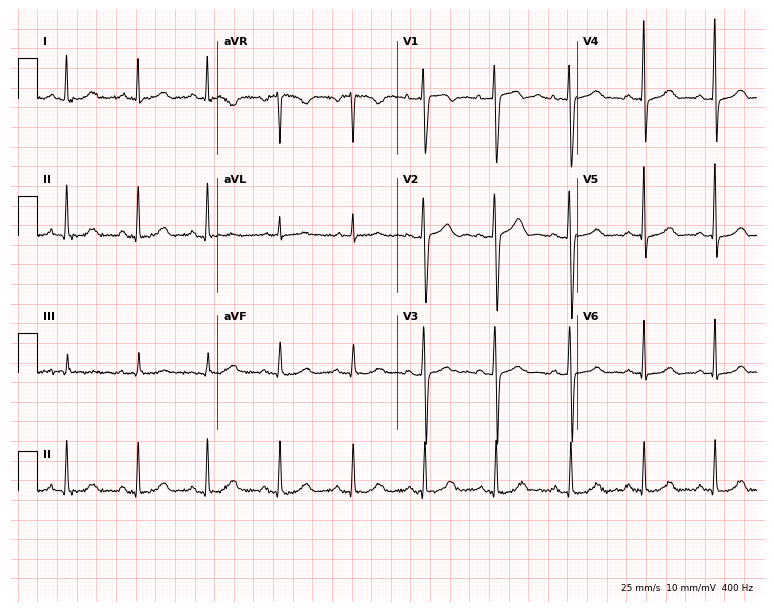
Standard 12-lead ECG recorded from a 37-year-old female patient. Read as a normal ECG.